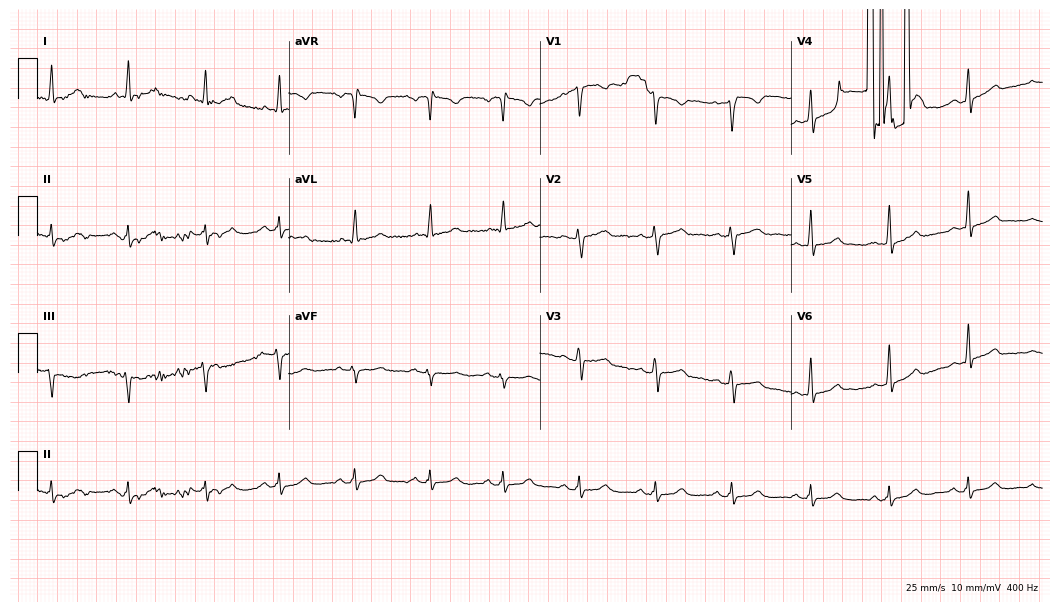
12-lead ECG (10.2-second recording at 400 Hz) from a female patient, 36 years old. Screened for six findings — first-degree AV block, right bundle branch block, left bundle branch block, sinus bradycardia, atrial fibrillation, sinus tachycardia — none is recorded. Only these six findings were labelled.